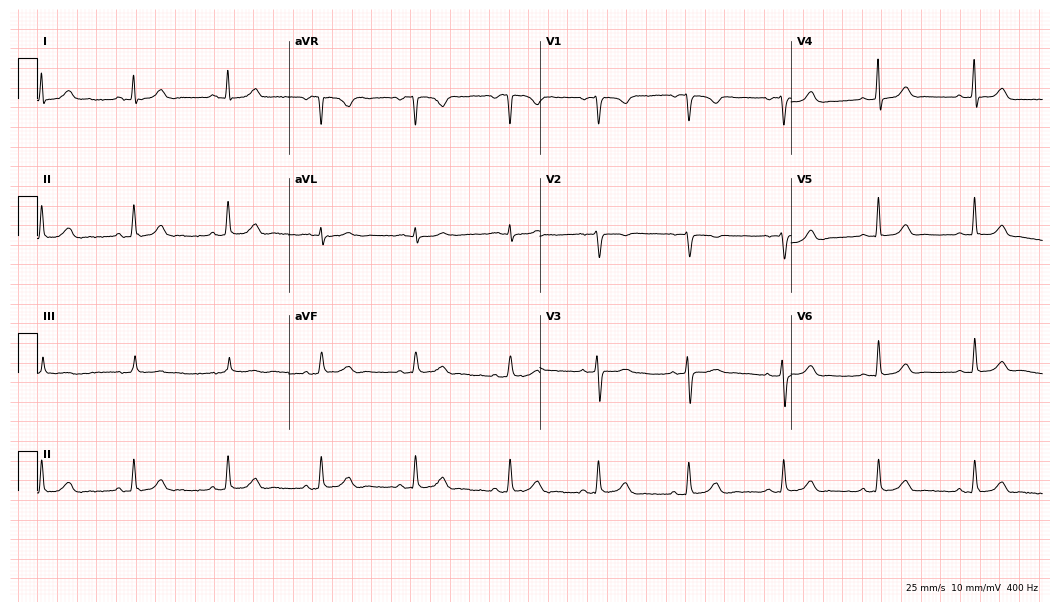
Standard 12-lead ECG recorded from a 51-year-old woman. None of these six findings is recorded: first-degree AV block, right bundle branch block (RBBB), left bundle branch block (LBBB), sinus bradycardia, atrial fibrillation (AF), sinus tachycardia.